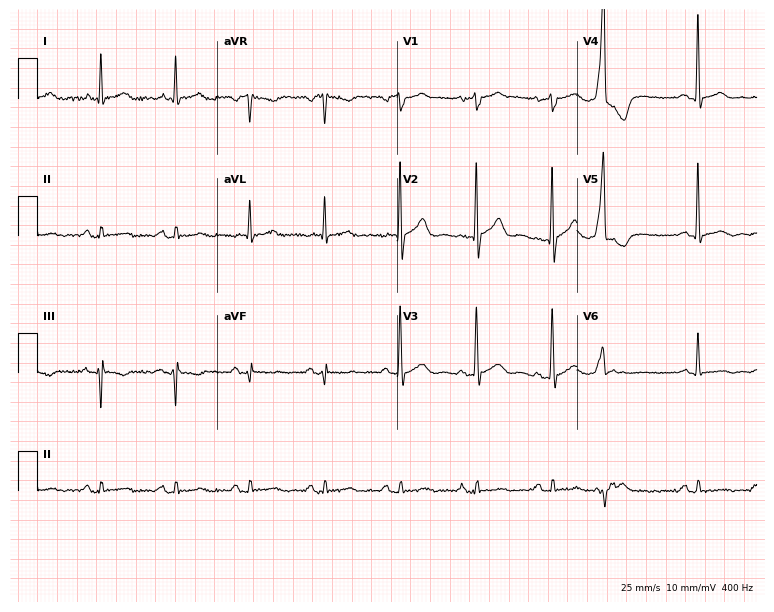
ECG (7.3-second recording at 400 Hz) — a 70-year-old man. Labelled as a normal ECG.